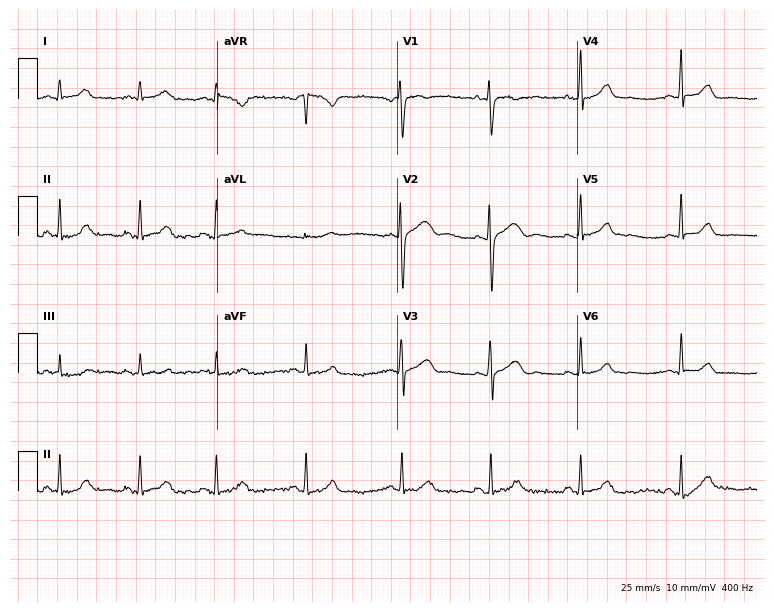
Electrocardiogram (7.3-second recording at 400 Hz), a 25-year-old woman. Overall reading on record: normal ECG.